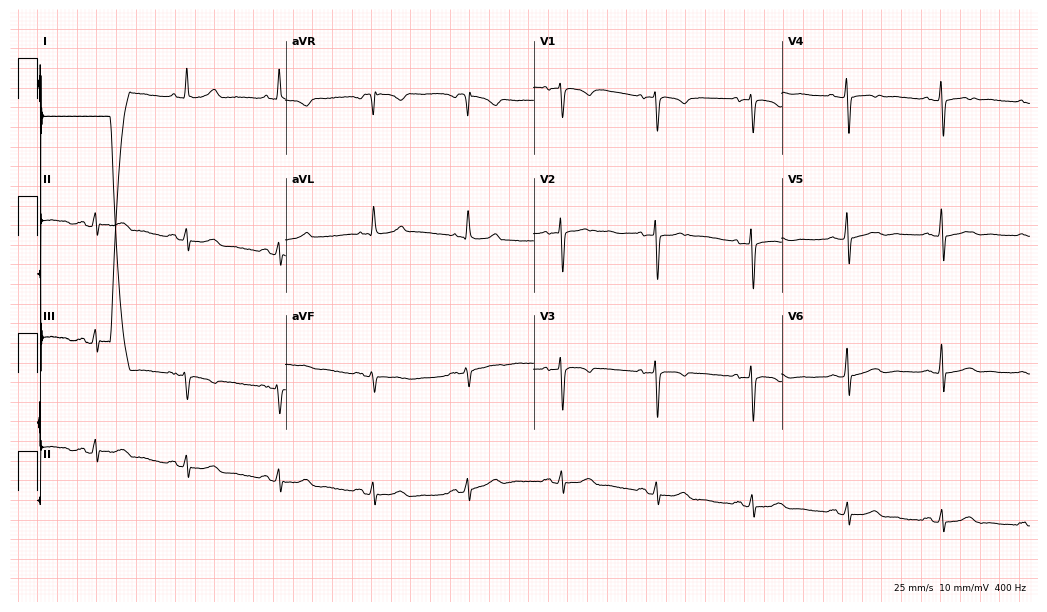
Standard 12-lead ECG recorded from a 63-year-old woman (10.1-second recording at 400 Hz). None of these six findings is recorded: first-degree AV block, right bundle branch block, left bundle branch block, sinus bradycardia, atrial fibrillation, sinus tachycardia. Other findings, if any, are not listed.